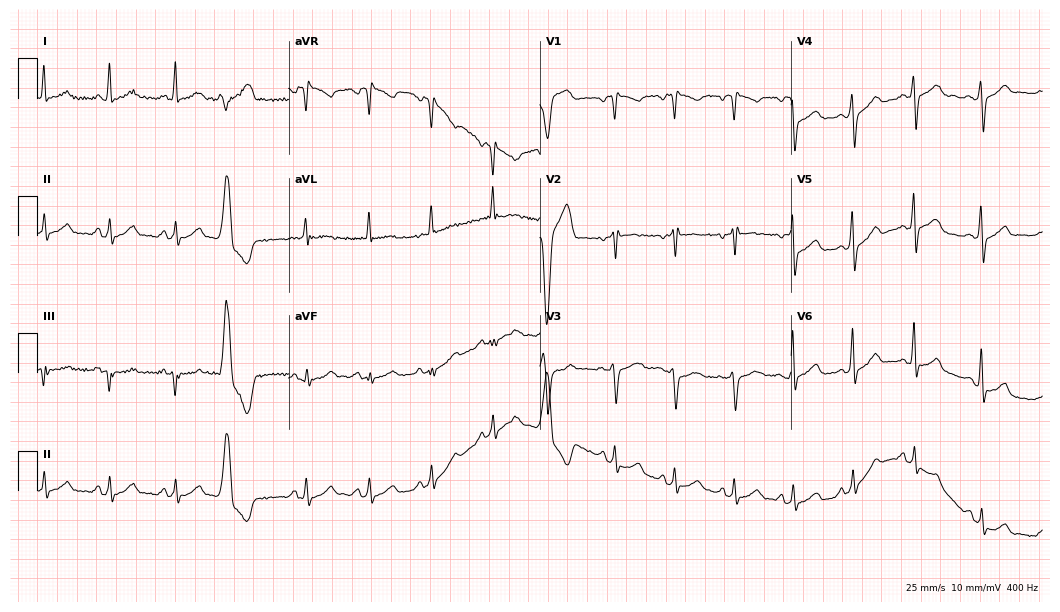
12-lead ECG from a 43-year-old male patient. No first-degree AV block, right bundle branch block, left bundle branch block, sinus bradycardia, atrial fibrillation or sinus tachycardia recorded for this tracing. Findings outside these six are not listed.